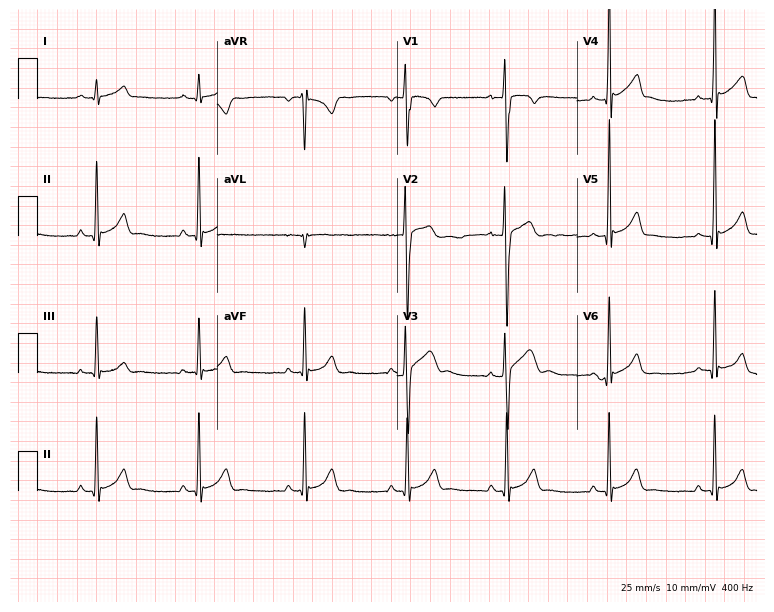
12-lead ECG from a male, 17 years old. Recorded interpretation: within normal limits.